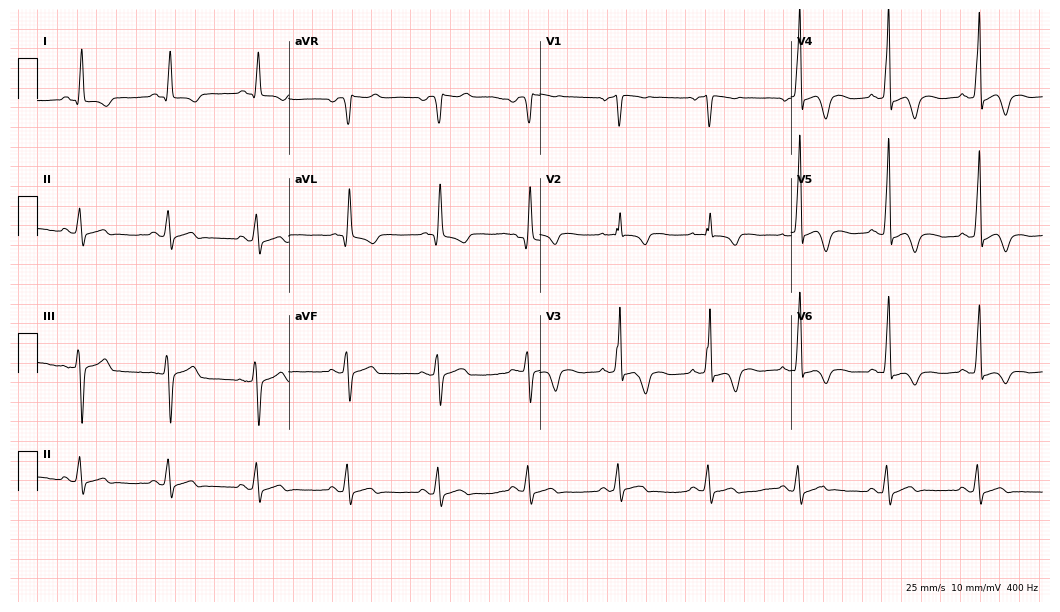
Resting 12-lead electrocardiogram (10.2-second recording at 400 Hz). Patient: a 72-year-old man. None of these six findings is recorded: first-degree AV block, right bundle branch block, left bundle branch block, sinus bradycardia, atrial fibrillation, sinus tachycardia.